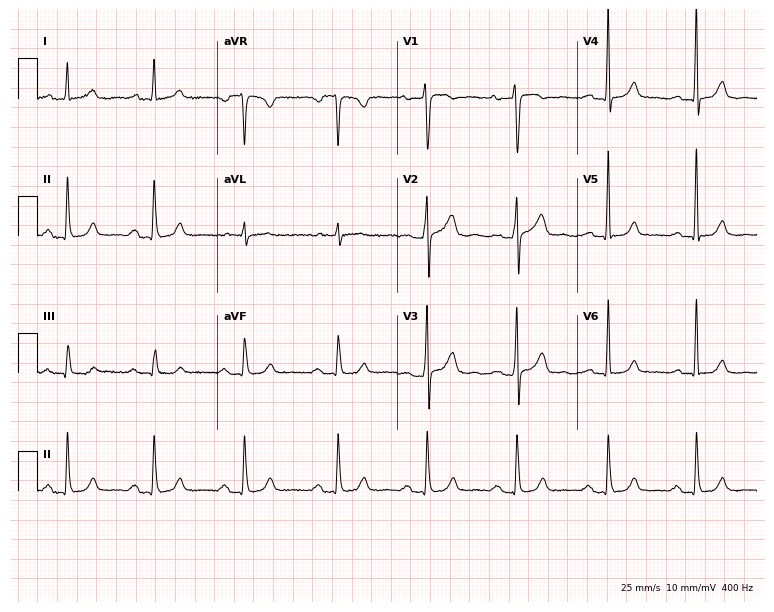
Standard 12-lead ECG recorded from a 36-year-old female. The tracing shows first-degree AV block.